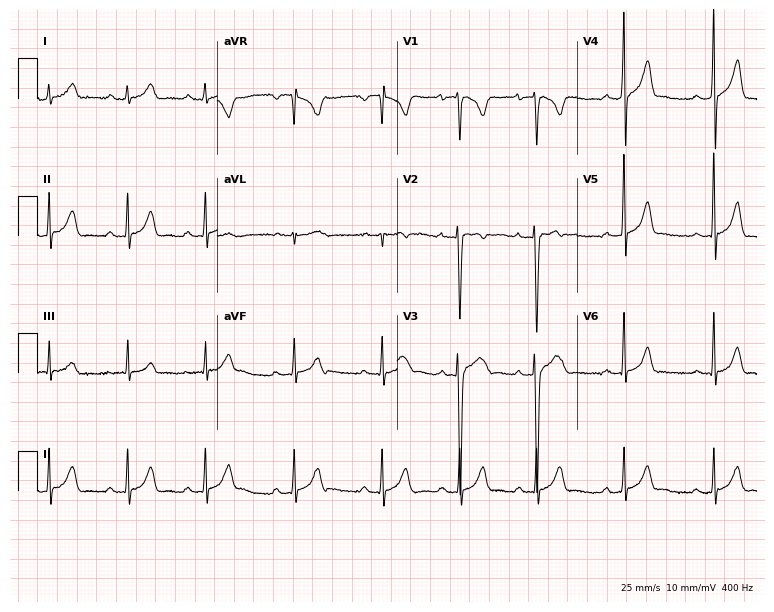
Electrocardiogram (7.3-second recording at 400 Hz), a 19-year-old male patient. Overall reading on record: normal ECG.